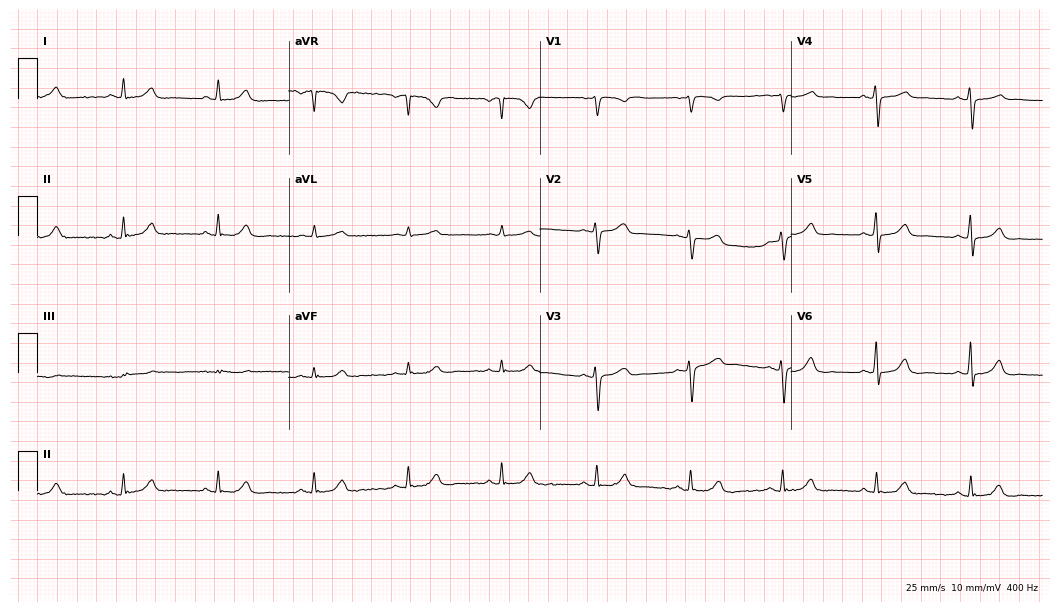
Standard 12-lead ECG recorded from a female patient, 56 years old (10.2-second recording at 400 Hz). Read as a normal ECG.